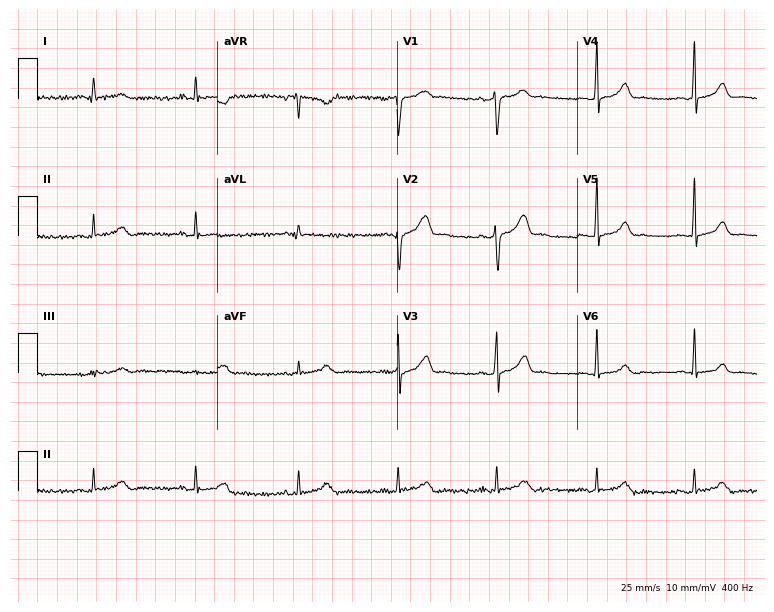
Resting 12-lead electrocardiogram. Patient: a man, 36 years old. None of these six findings is recorded: first-degree AV block, right bundle branch block, left bundle branch block, sinus bradycardia, atrial fibrillation, sinus tachycardia.